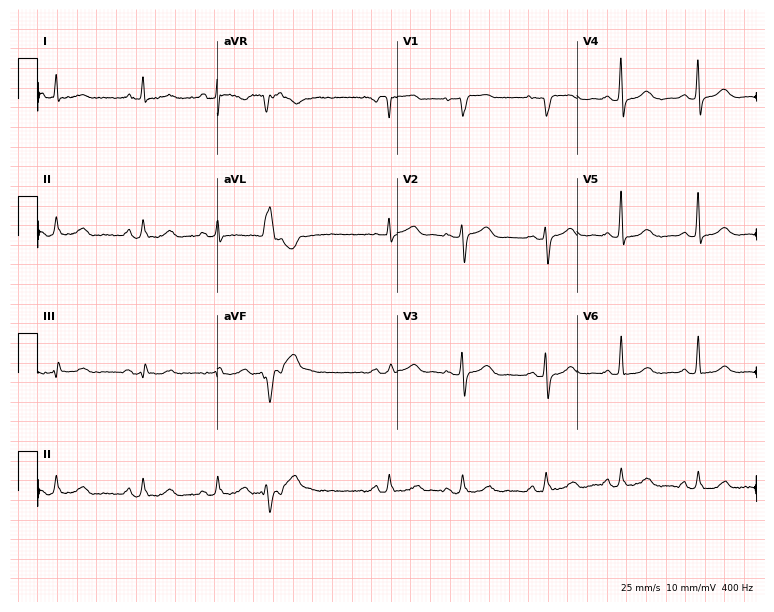
12-lead ECG from a 69-year-old female patient. No first-degree AV block, right bundle branch block (RBBB), left bundle branch block (LBBB), sinus bradycardia, atrial fibrillation (AF) or sinus tachycardia recorded for this tracing.